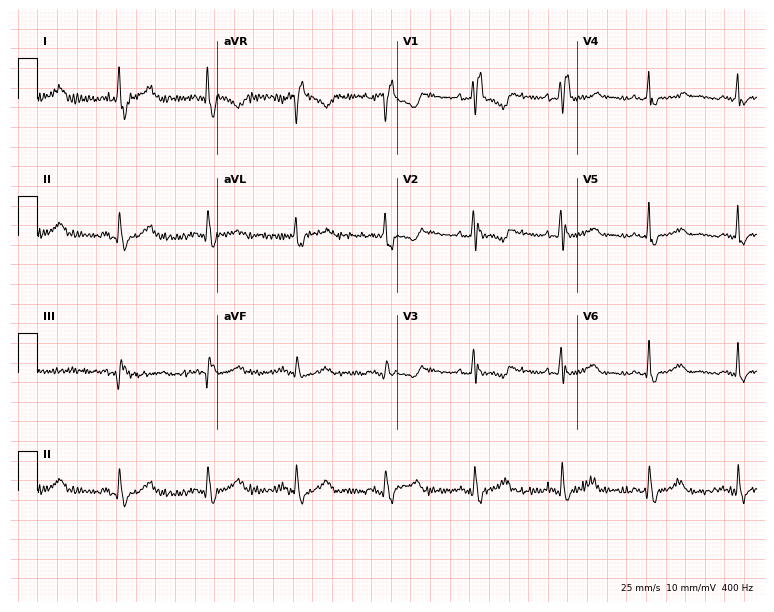
12-lead ECG from a 45-year-old woman (7.3-second recording at 400 Hz). Shows right bundle branch block.